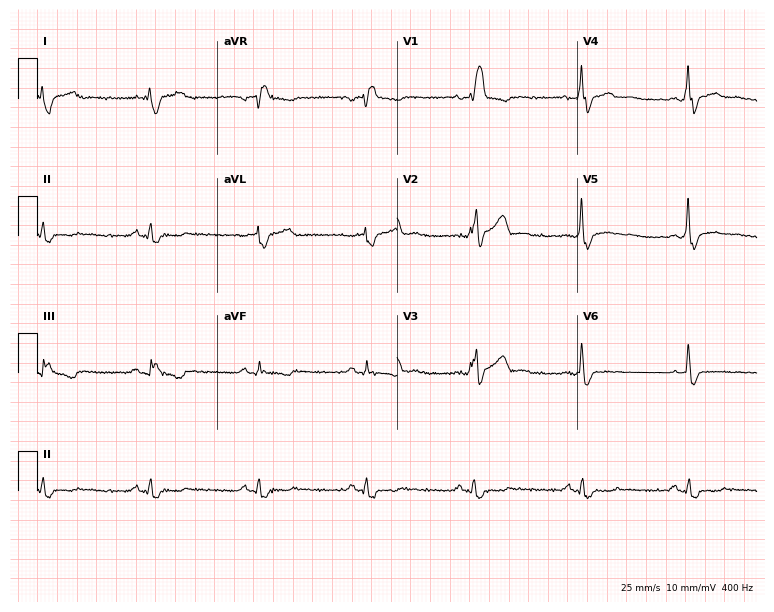
12-lead ECG from a male, 53 years old. Shows right bundle branch block.